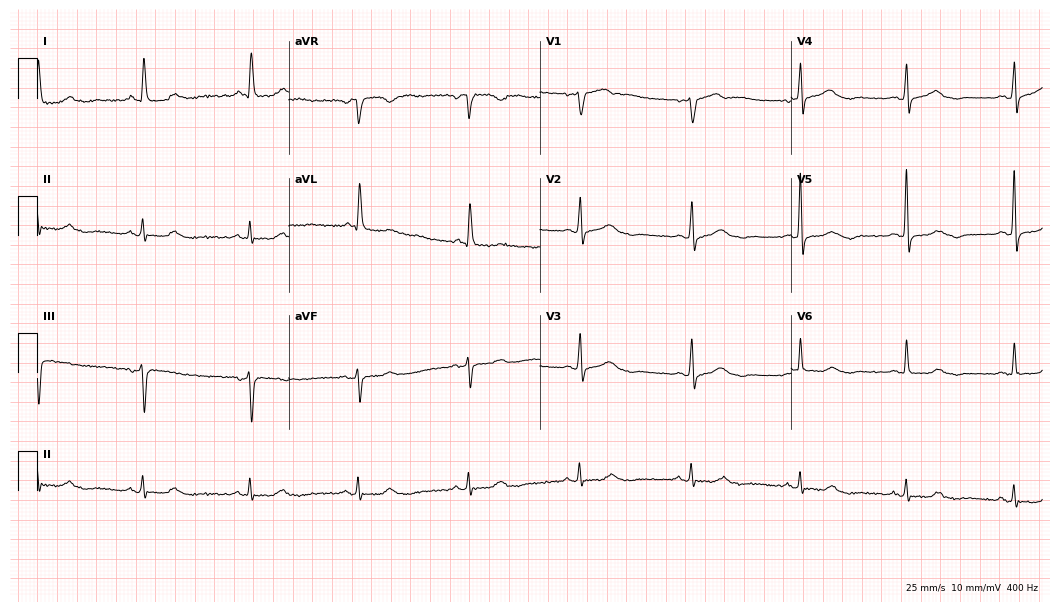
12-lead ECG from a female patient, 72 years old. Labelled as a normal ECG.